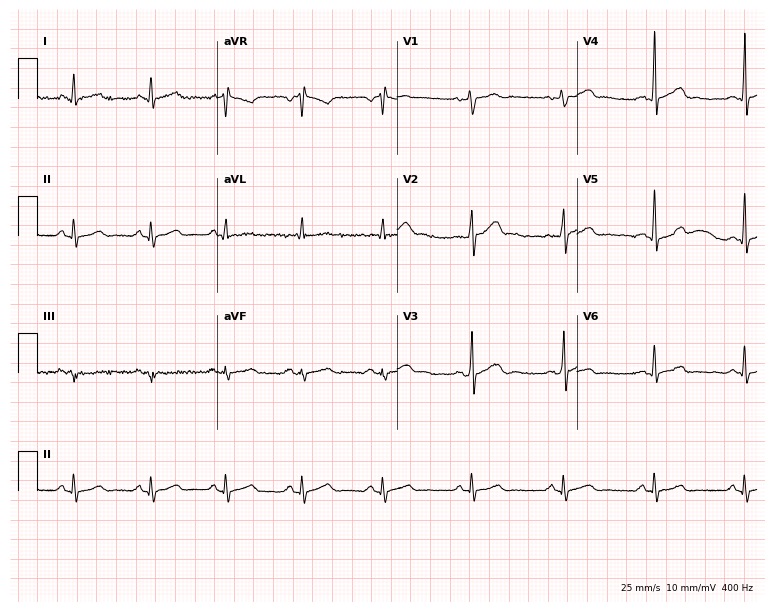
Resting 12-lead electrocardiogram (7.3-second recording at 400 Hz). Patient: a 37-year-old man. Read as a normal ECG.